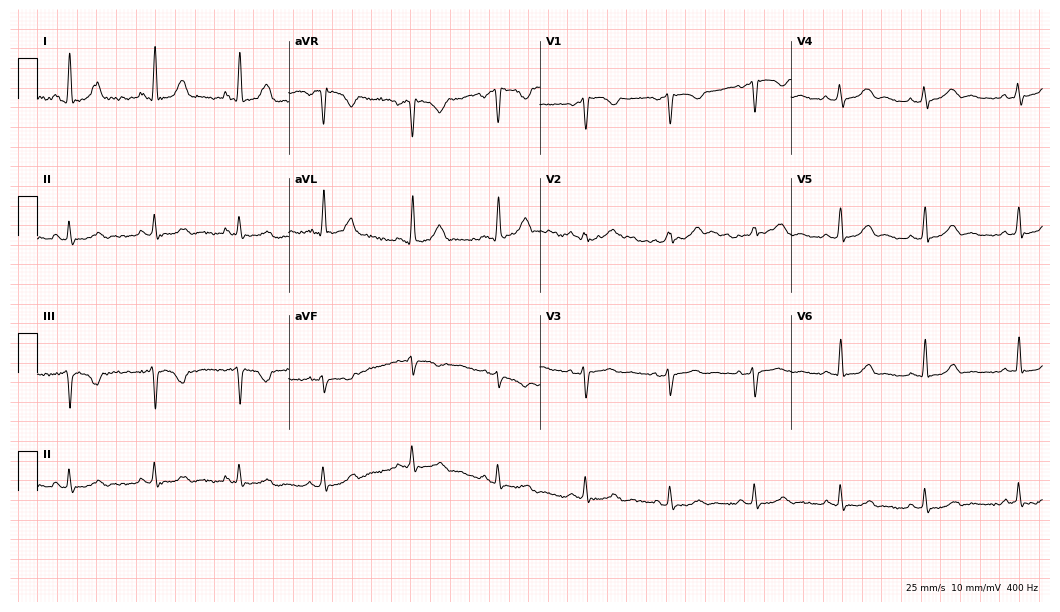
ECG — a 34-year-old woman. Labelled as a normal ECG.